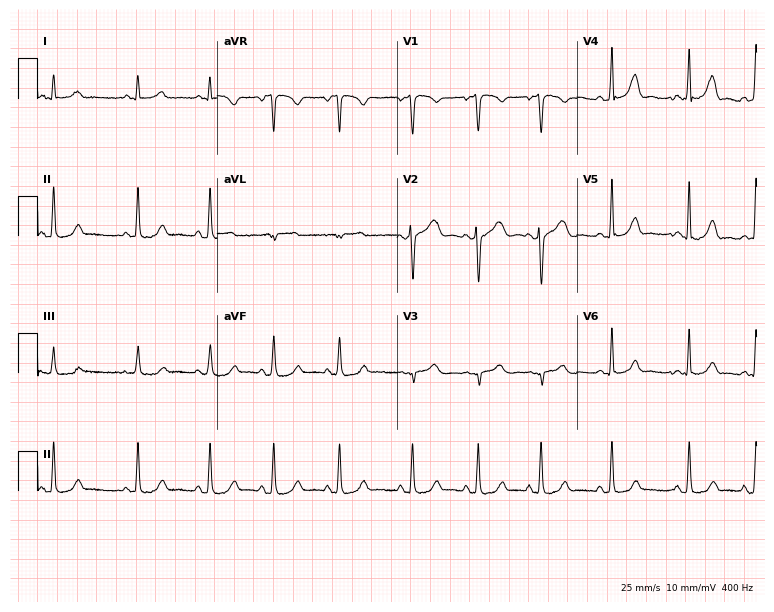
Electrocardiogram (7.3-second recording at 400 Hz), a 21-year-old female patient. Overall reading on record: normal ECG.